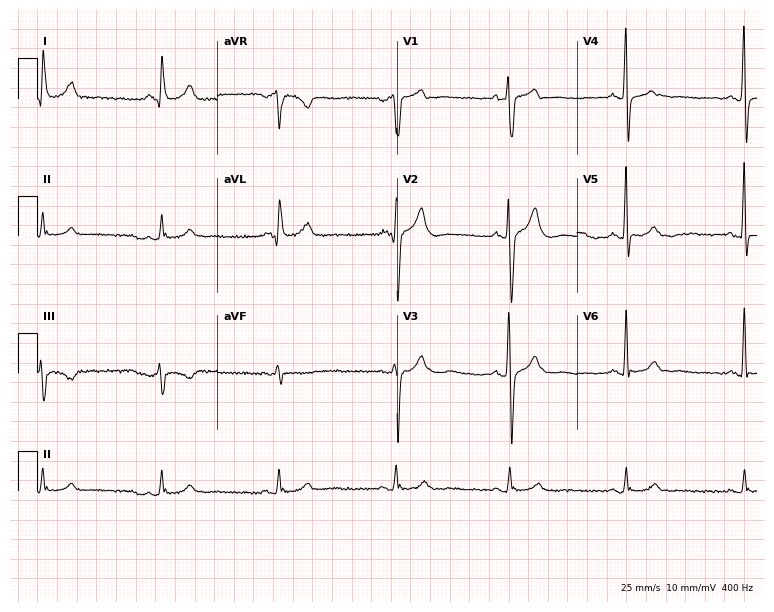
12-lead ECG (7.3-second recording at 400 Hz) from a 48-year-old male. Findings include sinus bradycardia (a sinus rate of 50 beats per minute or less).